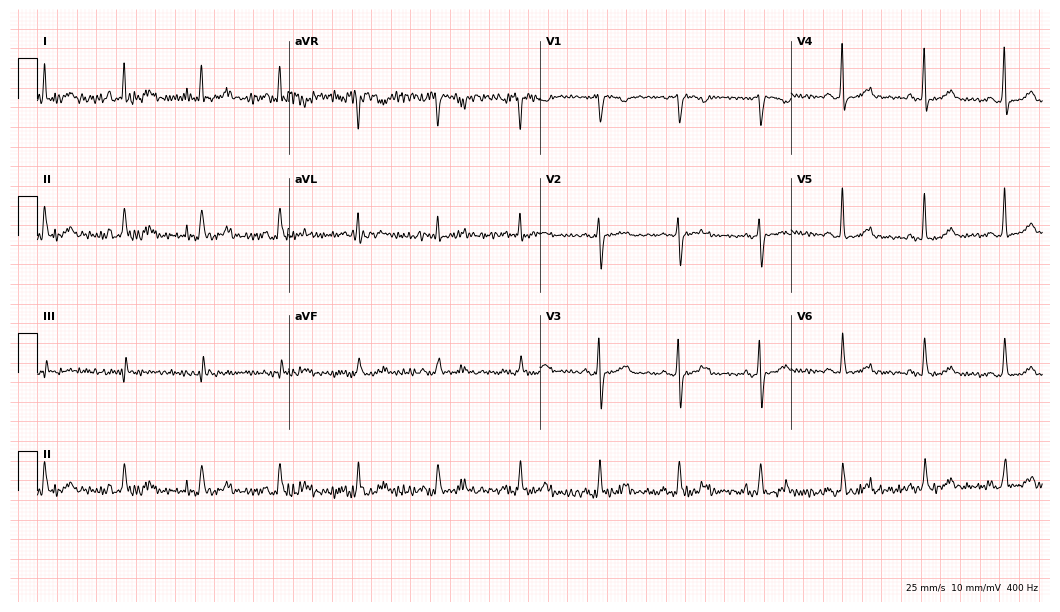
Electrocardiogram, a 46-year-old woman. Overall reading on record: normal ECG.